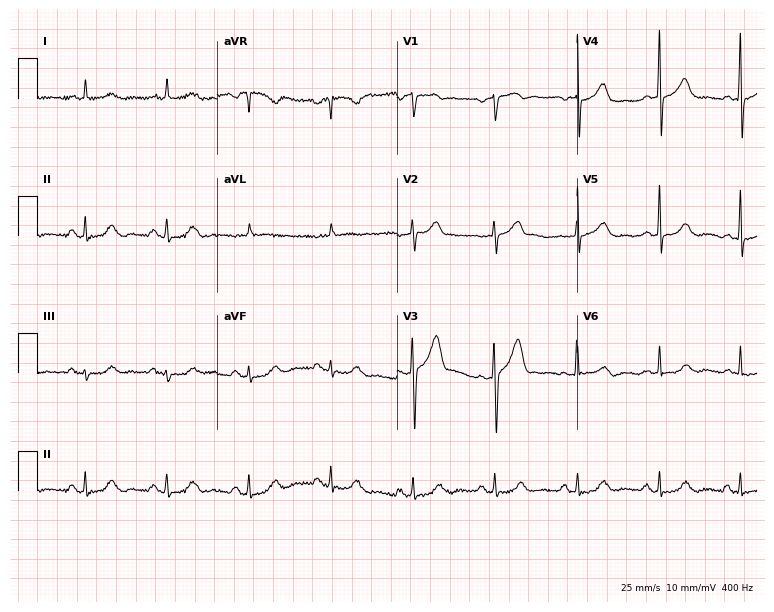
ECG (7.3-second recording at 400 Hz) — a 74-year-old man. Labelled as a normal ECG.